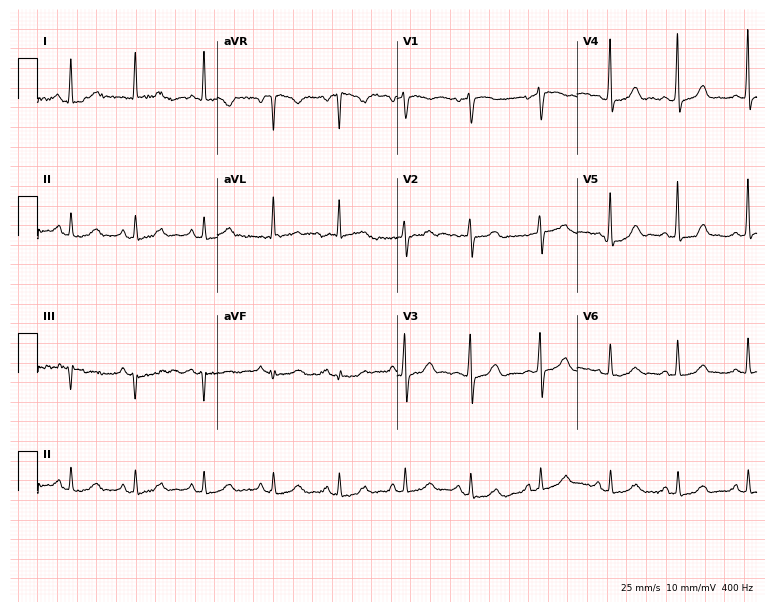
Electrocardiogram, a female patient, 57 years old. Overall reading on record: normal ECG.